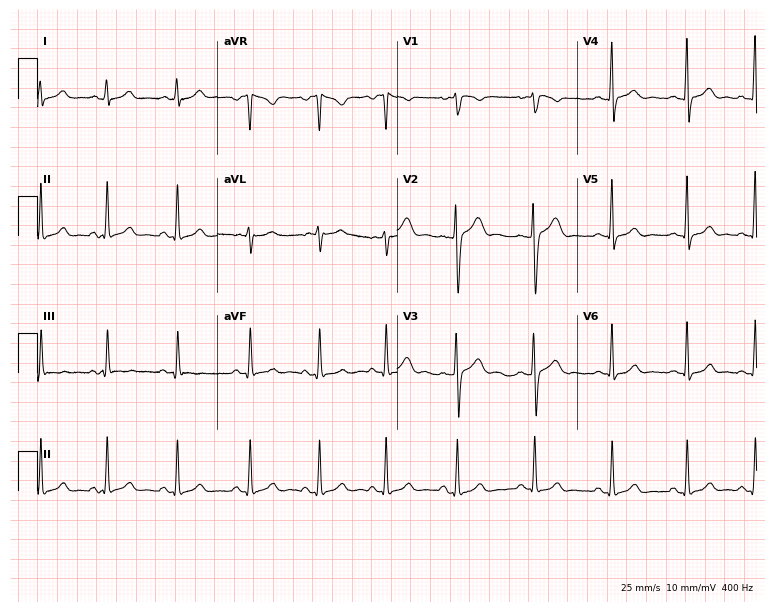
Electrocardiogram (7.3-second recording at 400 Hz), a female patient, 18 years old. Overall reading on record: normal ECG.